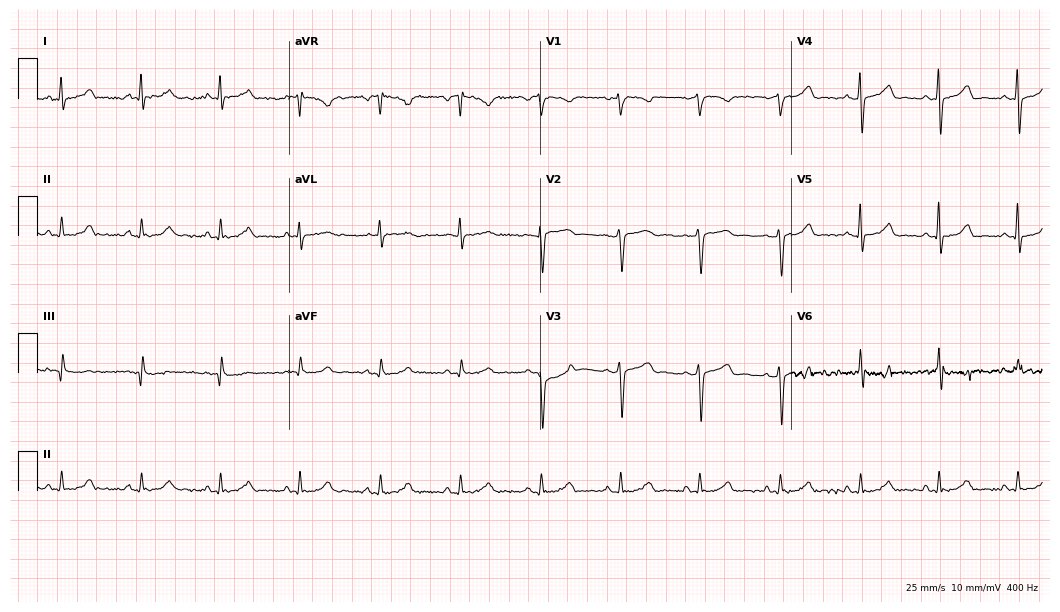
12-lead ECG (10.2-second recording at 400 Hz) from a female patient, 38 years old. Screened for six findings — first-degree AV block, right bundle branch block, left bundle branch block, sinus bradycardia, atrial fibrillation, sinus tachycardia — none is recorded.